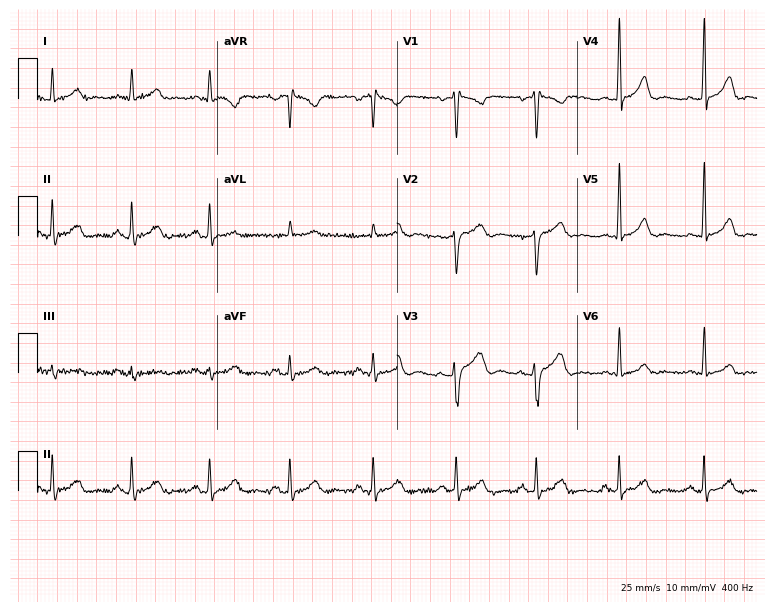
ECG — a male, 35 years old. Screened for six findings — first-degree AV block, right bundle branch block (RBBB), left bundle branch block (LBBB), sinus bradycardia, atrial fibrillation (AF), sinus tachycardia — none is recorded.